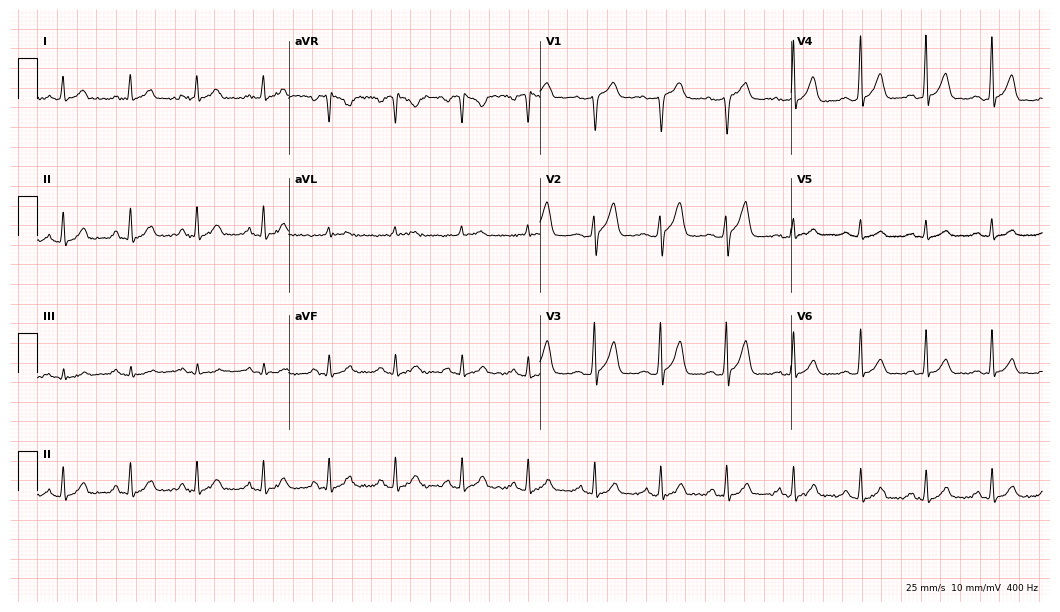
Standard 12-lead ECG recorded from a male, 66 years old. Read as a normal ECG.